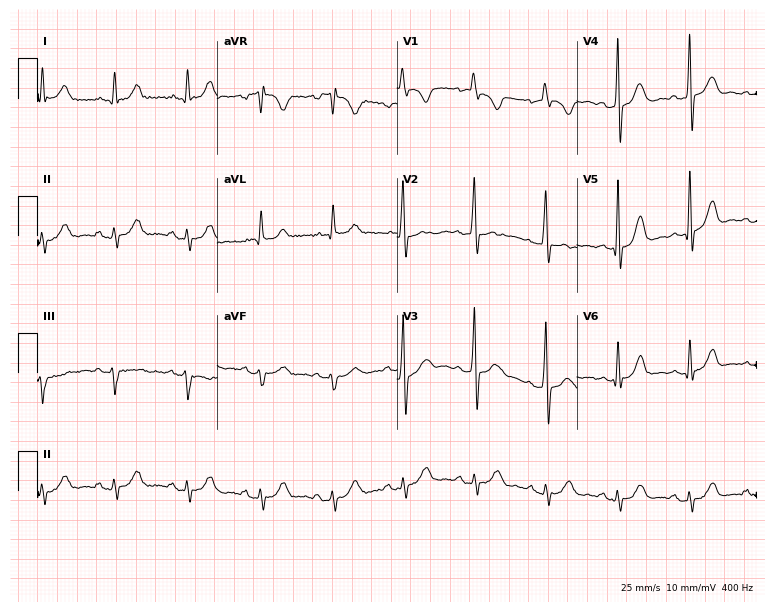
Standard 12-lead ECG recorded from a man, 65 years old (7.3-second recording at 400 Hz). None of these six findings is recorded: first-degree AV block, right bundle branch block, left bundle branch block, sinus bradycardia, atrial fibrillation, sinus tachycardia.